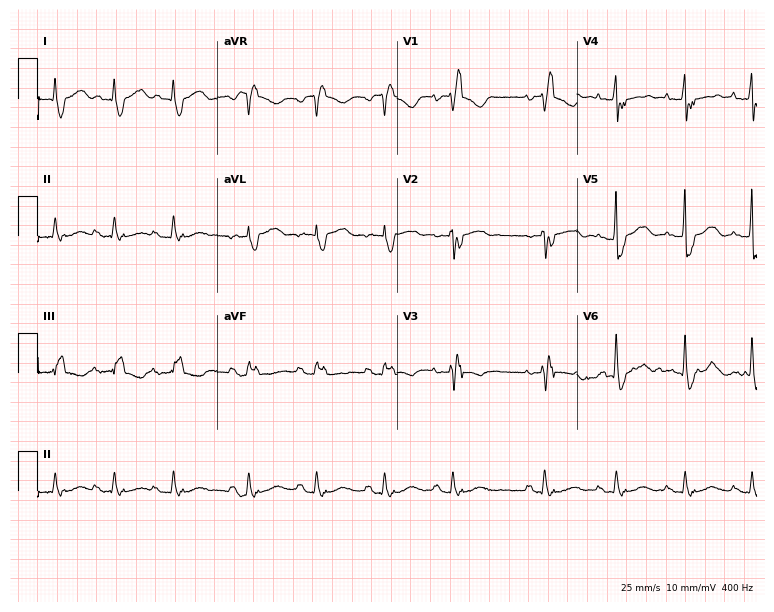
Resting 12-lead electrocardiogram. Patient: a 75-year-old woman. The tracing shows right bundle branch block.